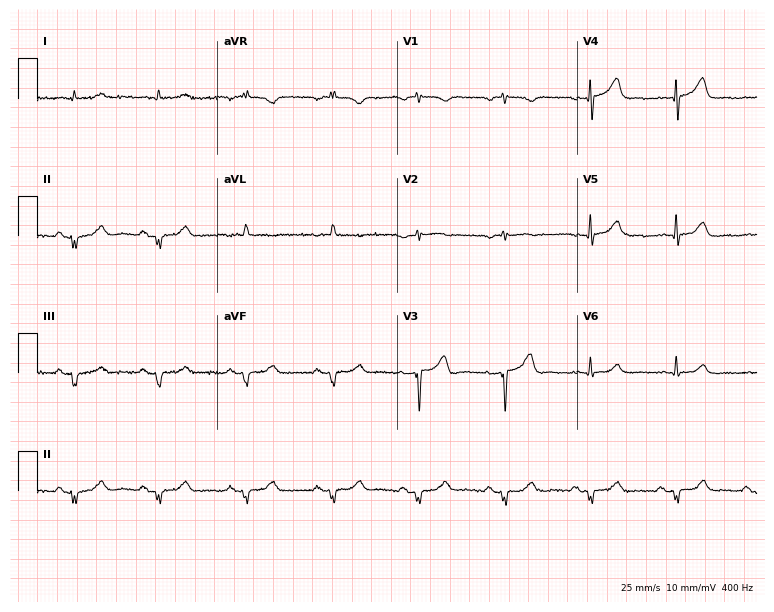
Electrocardiogram, a 77-year-old male. Of the six screened findings (first-degree AV block, right bundle branch block (RBBB), left bundle branch block (LBBB), sinus bradycardia, atrial fibrillation (AF), sinus tachycardia), none is recorded. Findings outside these six are not listed.